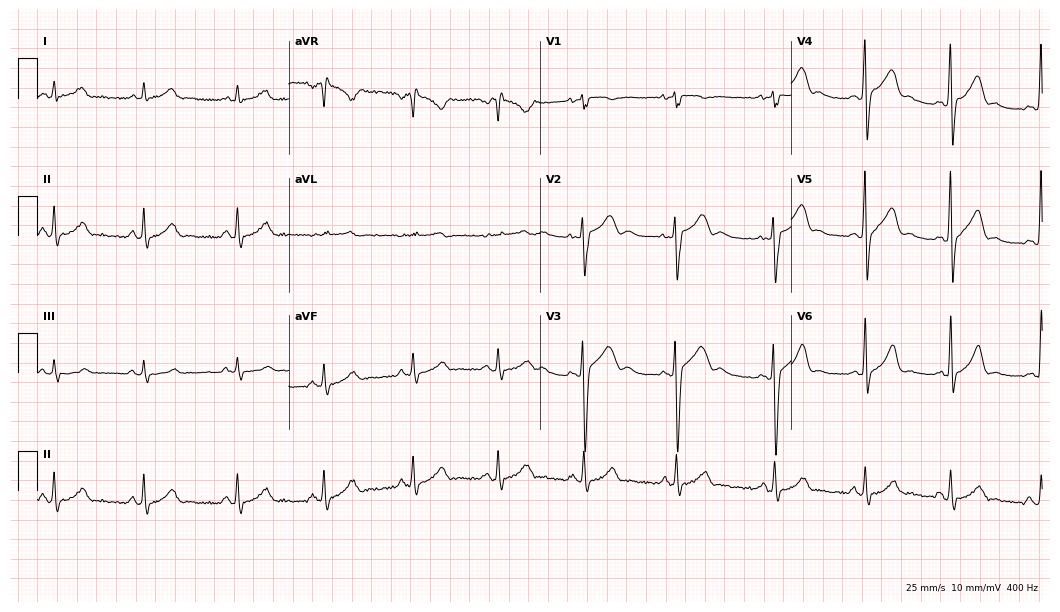
Electrocardiogram, a male patient, 17 years old. Overall reading on record: normal ECG.